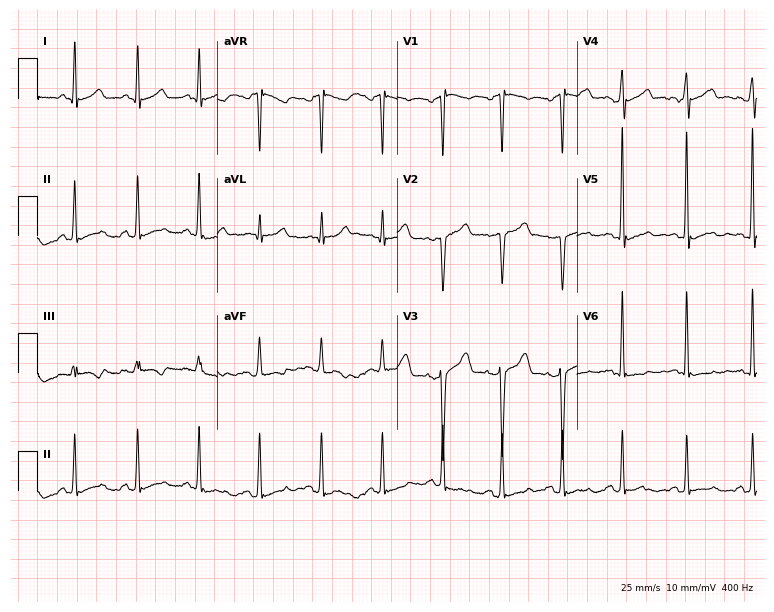
ECG — a 41-year-old male. Screened for six findings — first-degree AV block, right bundle branch block (RBBB), left bundle branch block (LBBB), sinus bradycardia, atrial fibrillation (AF), sinus tachycardia — none is recorded. Other findings, if any, are not listed.